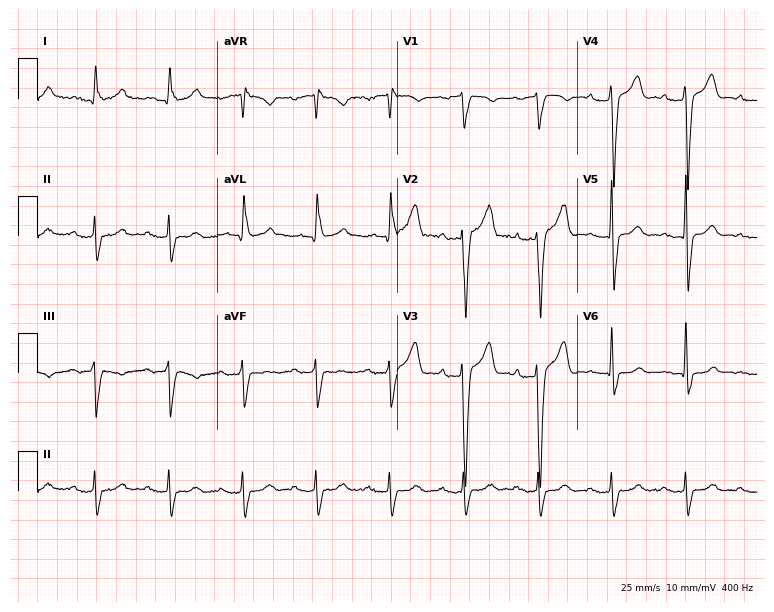
ECG (7.3-second recording at 400 Hz) — a male, 64 years old. Screened for six findings — first-degree AV block, right bundle branch block, left bundle branch block, sinus bradycardia, atrial fibrillation, sinus tachycardia — none is recorded.